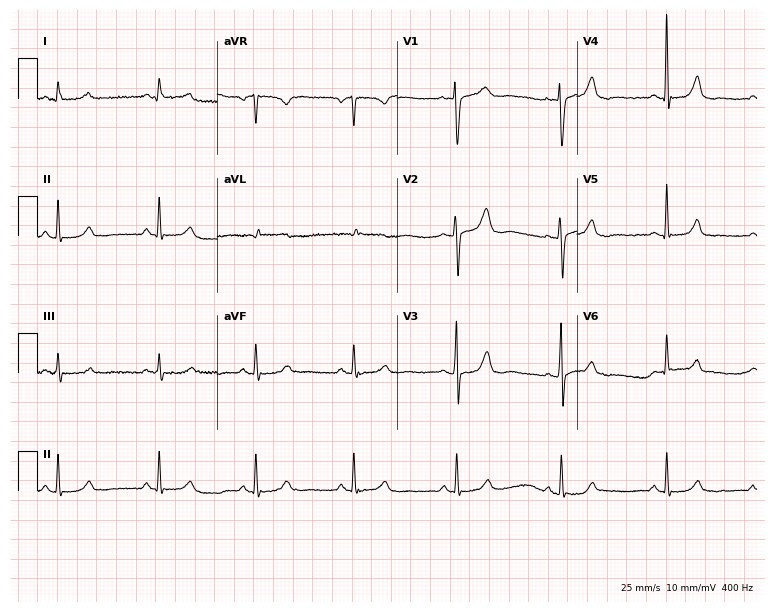
12-lead ECG from a female, 50 years old. Recorded interpretation: within normal limits.